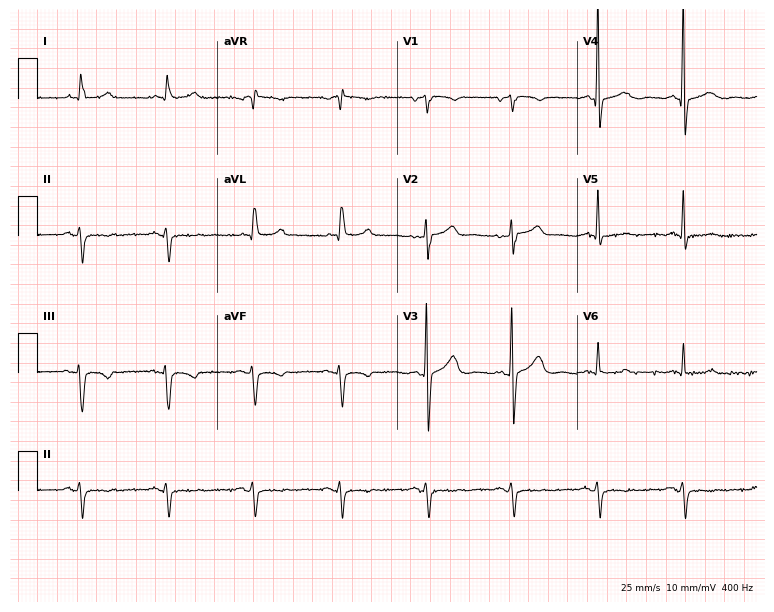
12-lead ECG from an 83-year-old male patient (7.3-second recording at 400 Hz). No first-degree AV block, right bundle branch block (RBBB), left bundle branch block (LBBB), sinus bradycardia, atrial fibrillation (AF) or sinus tachycardia recorded for this tracing. Only these six findings were labelled.